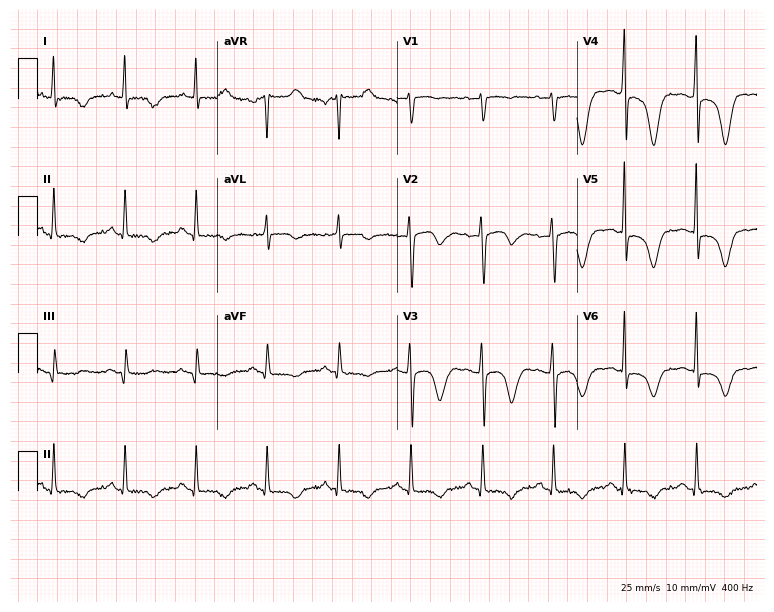
Electrocardiogram (7.3-second recording at 400 Hz), a 52-year-old woman. Of the six screened findings (first-degree AV block, right bundle branch block, left bundle branch block, sinus bradycardia, atrial fibrillation, sinus tachycardia), none is recorded.